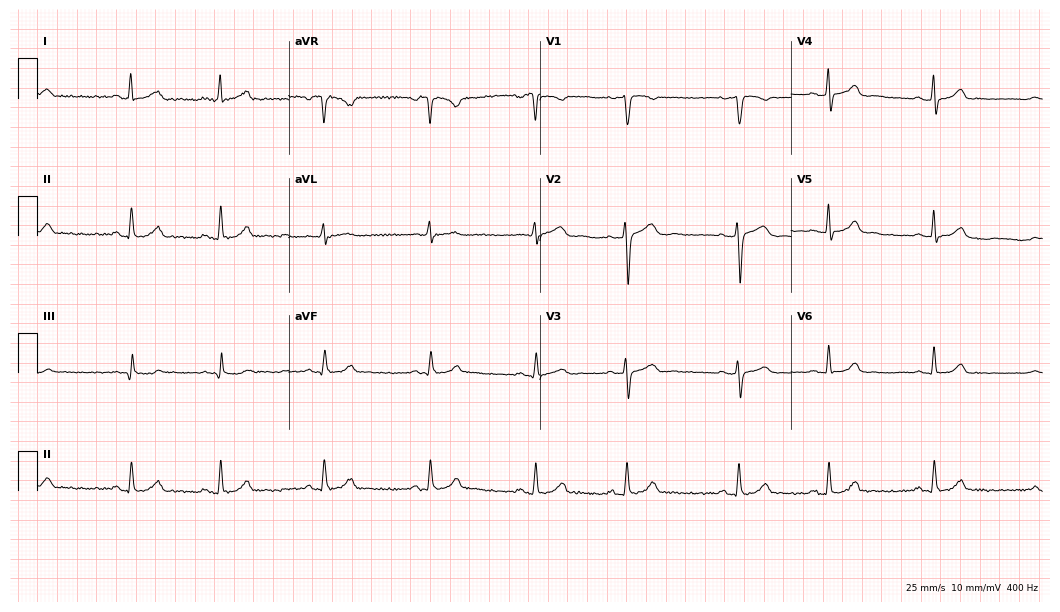
ECG — a female patient, 34 years old. Labelled as a normal ECG.